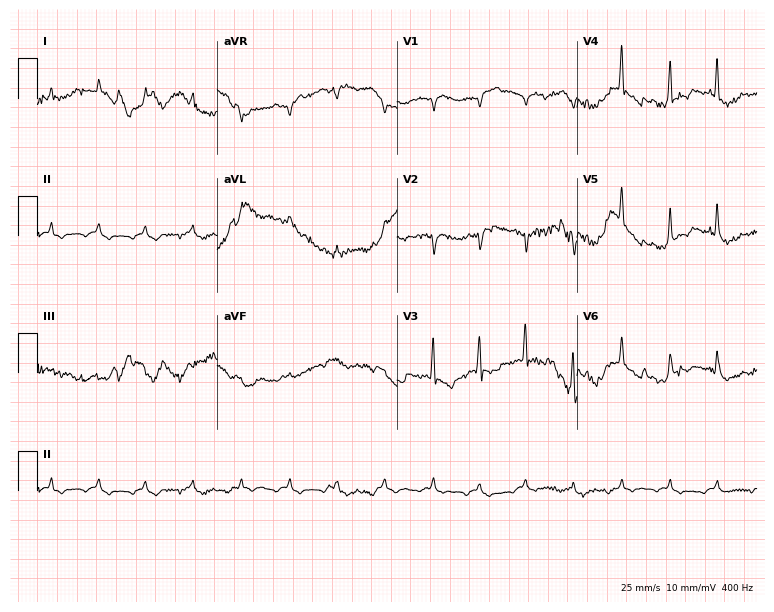
ECG (7.3-second recording at 400 Hz) — a 71-year-old male patient. Screened for six findings — first-degree AV block, right bundle branch block, left bundle branch block, sinus bradycardia, atrial fibrillation, sinus tachycardia — none is recorded.